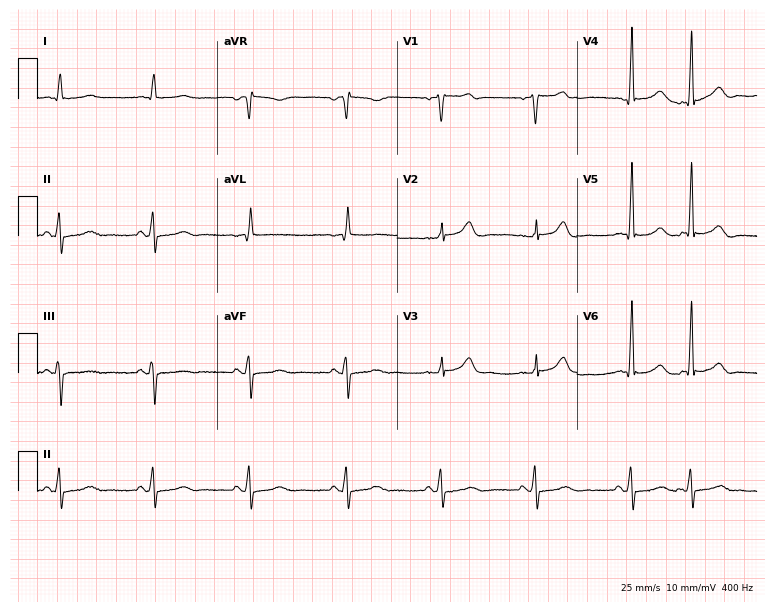
12-lead ECG (7.3-second recording at 400 Hz) from an 81-year-old man. Screened for six findings — first-degree AV block, right bundle branch block (RBBB), left bundle branch block (LBBB), sinus bradycardia, atrial fibrillation (AF), sinus tachycardia — none is recorded. Other findings, if any, are not listed.